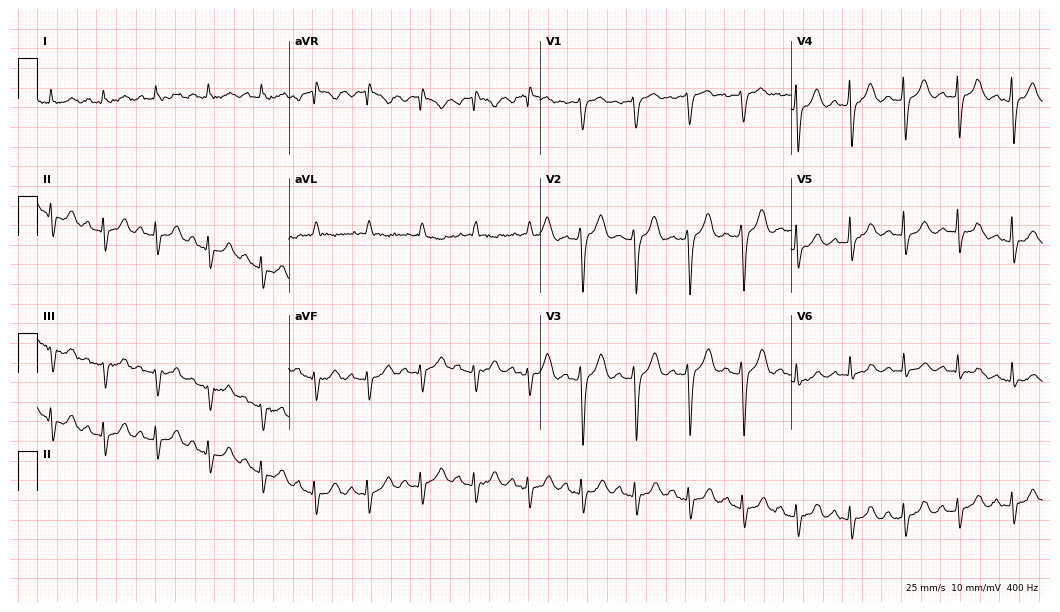
Electrocardiogram (10.2-second recording at 400 Hz), a female, 81 years old. Interpretation includes sinus tachycardia (a sinus rate of 100 beats per minute or more).